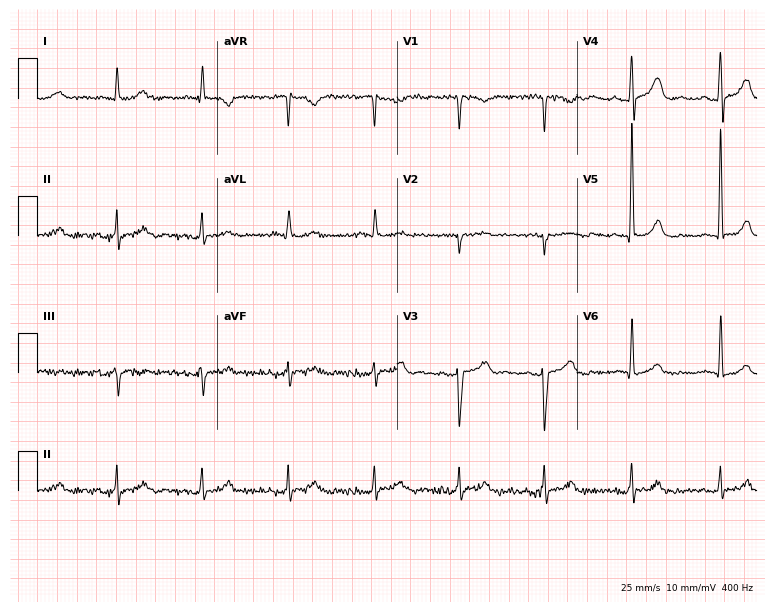
Electrocardiogram (7.3-second recording at 400 Hz), a male, 76 years old. Overall reading on record: normal ECG.